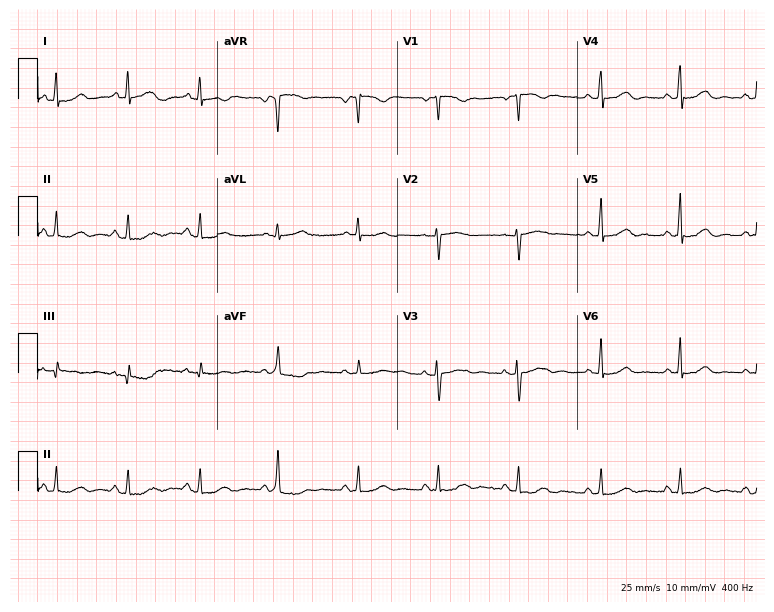
Standard 12-lead ECG recorded from a 50-year-old female (7.3-second recording at 400 Hz). None of these six findings is recorded: first-degree AV block, right bundle branch block (RBBB), left bundle branch block (LBBB), sinus bradycardia, atrial fibrillation (AF), sinus tachycardia. Other findings, if any, are not listed.